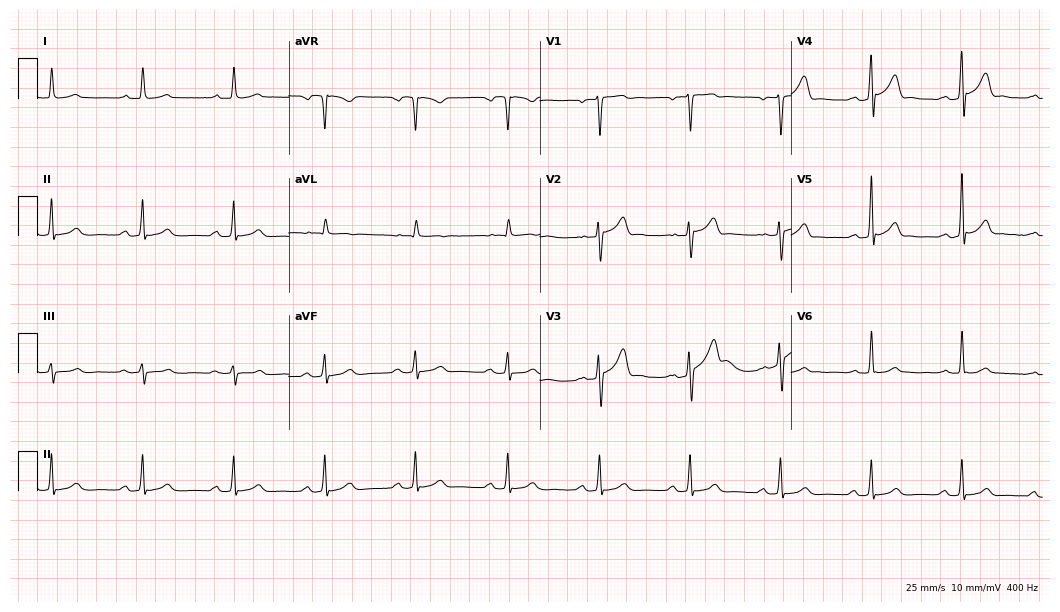
12-lead ECG from a male patient, 45 years old. Recorded interpretation: within normal limits.